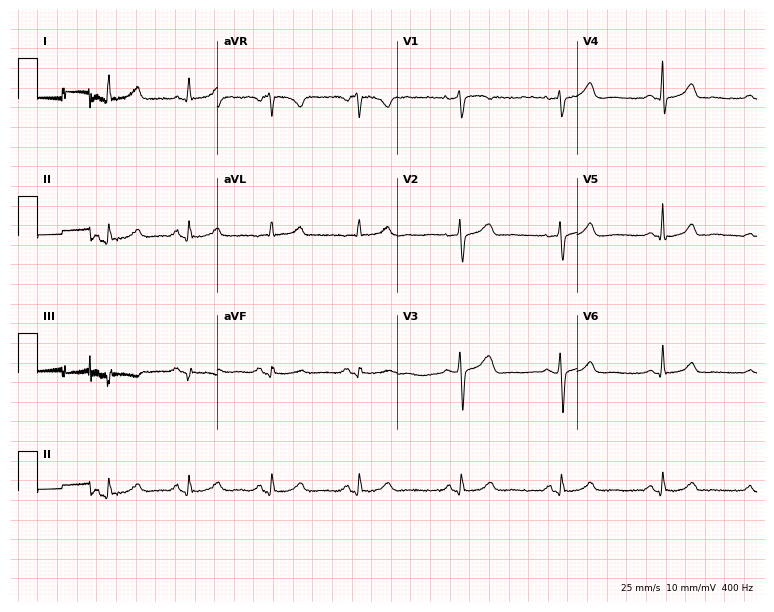
Resting 12-lead electrocardiogram. Patient: a female, 56 years old. None of these six findings is recorded: first-degree AV block, right bundle branch block, left bundle branch block, sinus bradycardia, atrial fibrillation, sinus tachycardia.